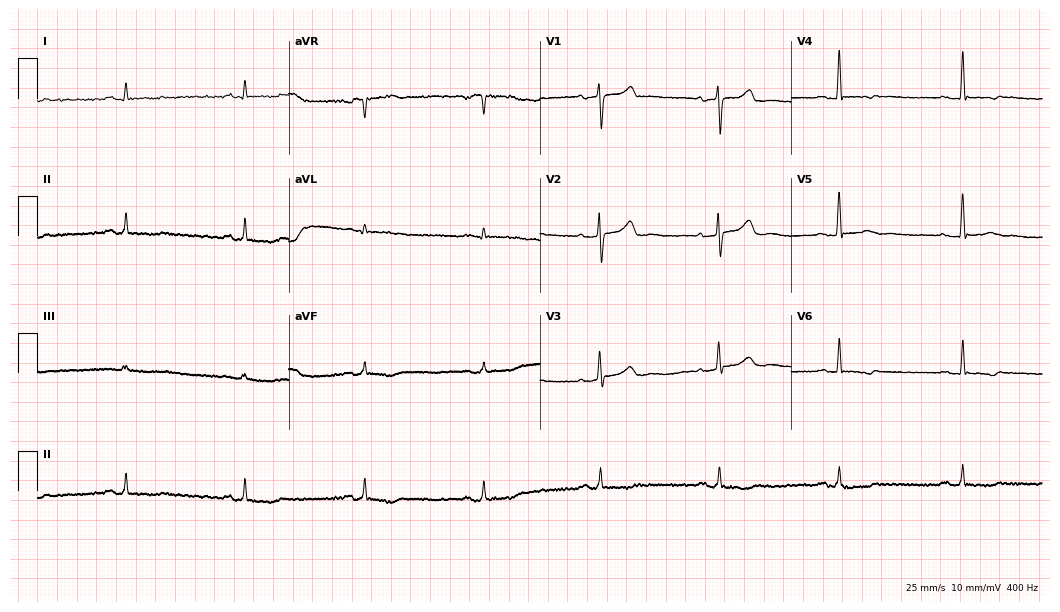
Resting 12-lead electrocardiogram. Patient: a 62-year-old male. The tracing shows sinus bradycardia (a sinus rate of 50 beats per minute or less).